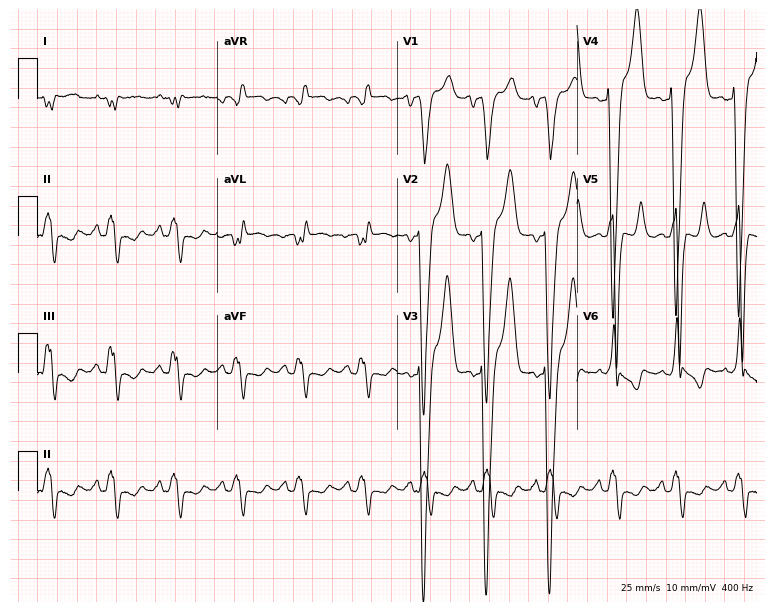
Resting 12-lead electrocardiogram. Patient: a 56-year-old male. None of these six findings is recorded: first-degree AV block, right bundle branch block, left bundle branch block, sinus bradycardia, atrial fibrillation, sinus tachycardia. Other findings, if any, are not listed.